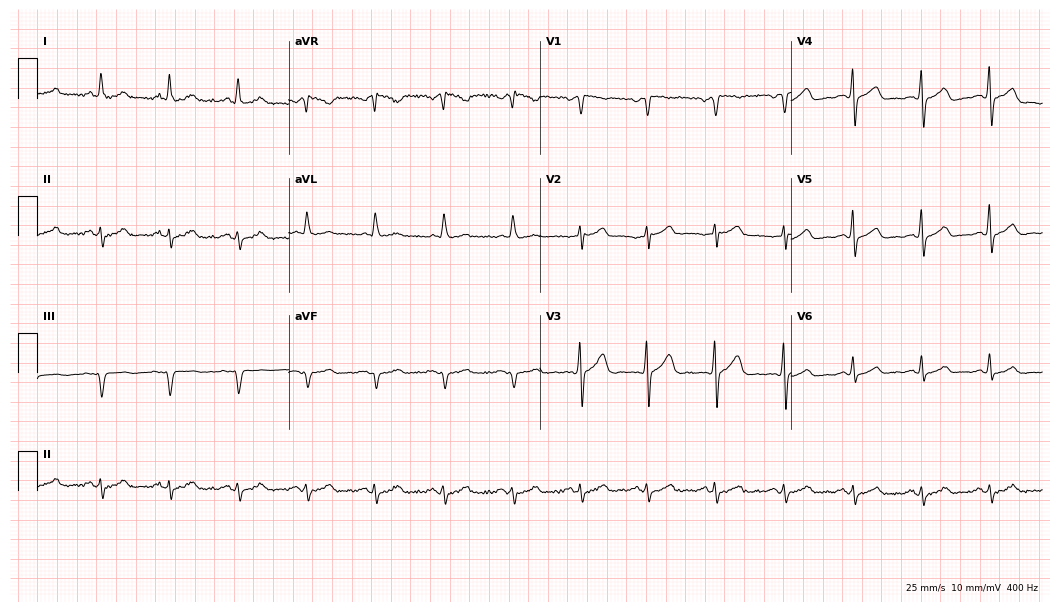
ECG — a 62-year-old woman. Screened for six findings — first-degree AV block, right bundle branch block, left bundle branch block, sinus bradycardia, atrial fibrillation, sinus tachycardia — none is recorded.